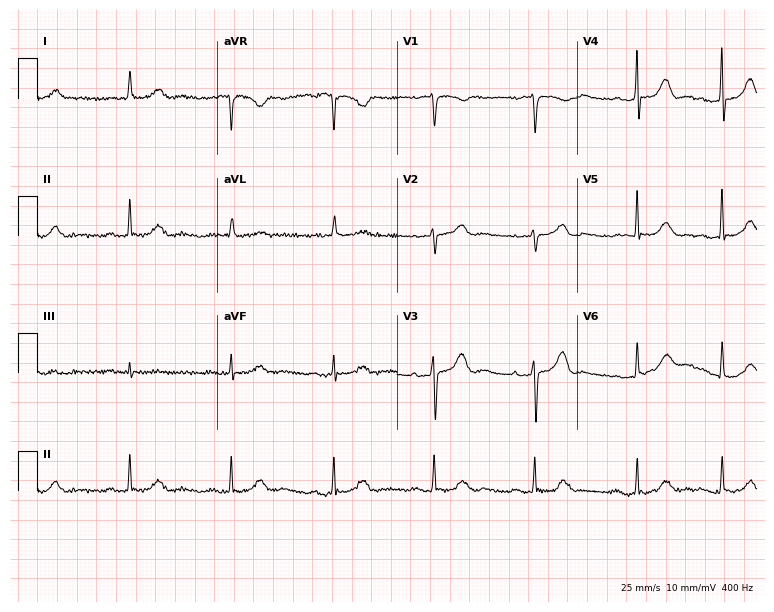
Resting 12-lead electrocardiogram. Patient: a 76-year-old female. Read as a normal ECG.